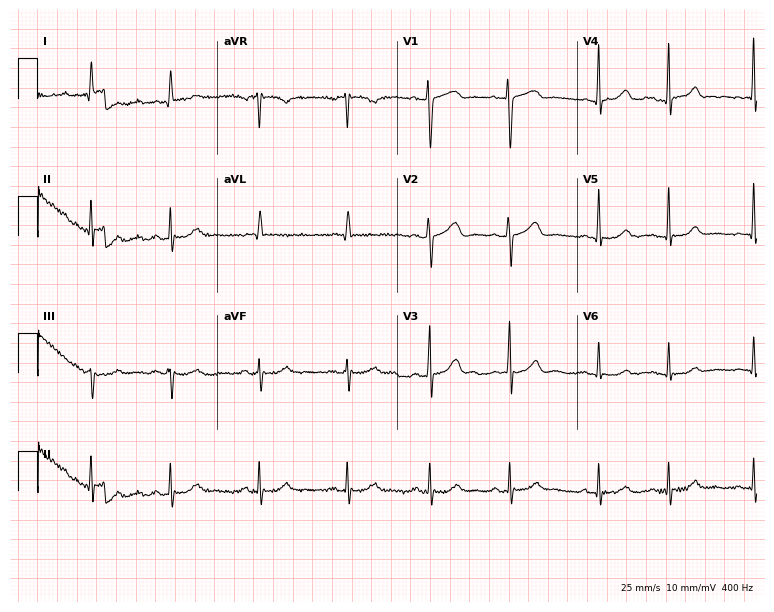
Standard 12-lead ECG recorded from a woman, 73 years old. Read as a normal ECG.